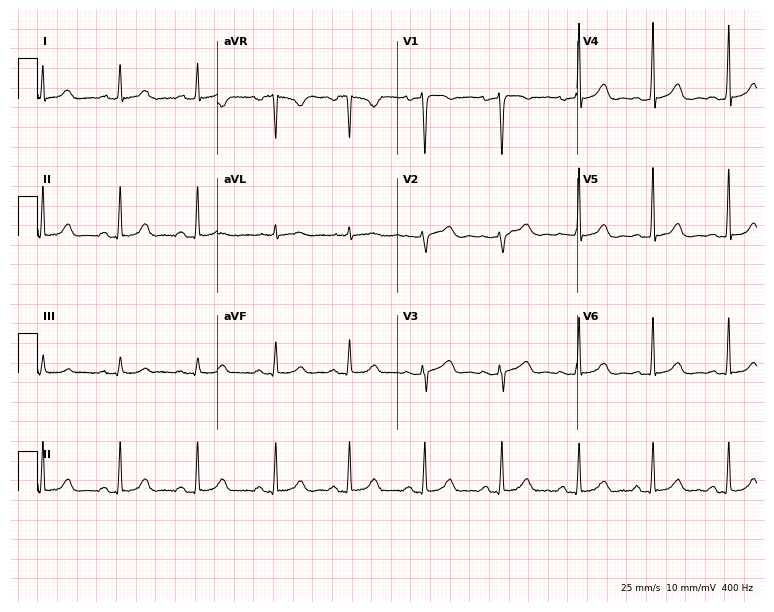
12-lead ECG from a female patient, 52 years old. Labelled as a normal ECG.